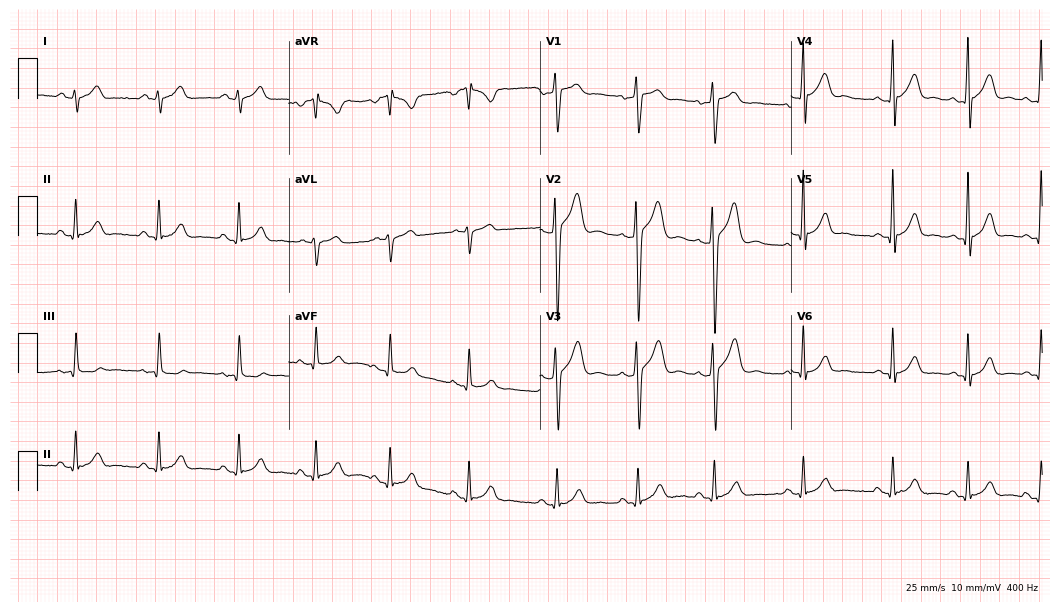
Resting 12-lead electrocardiogram (10.2-second recording at 400 Hz). Patient: a 19-year-old man. Read as a normal ECG.